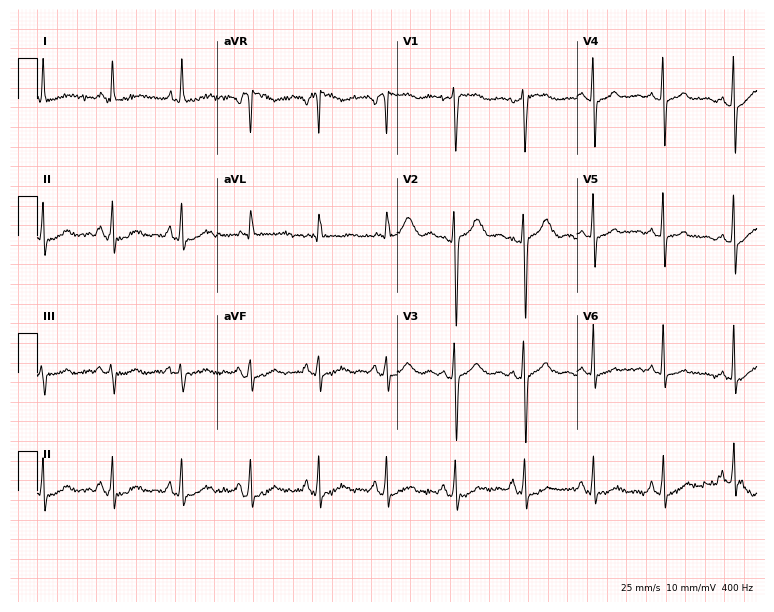
Electrocardiogram, a female patient, 27 years old. Of the six screened findings (first-degree AV block, right bundle branch block, left bundle branch block, sinus bradycardia, atrial fibrillation, sinus tachycardia), none is recorded. Findings outside these six are not listed.